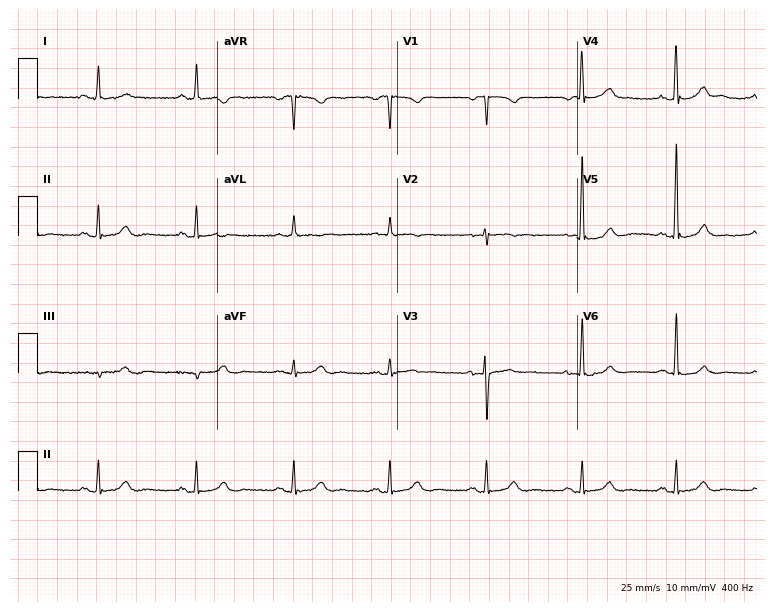
Electrocardiogram (7.3-second recording at 400 Hz), a female patient, 61 years old. Overall reading on record: normal ECG.